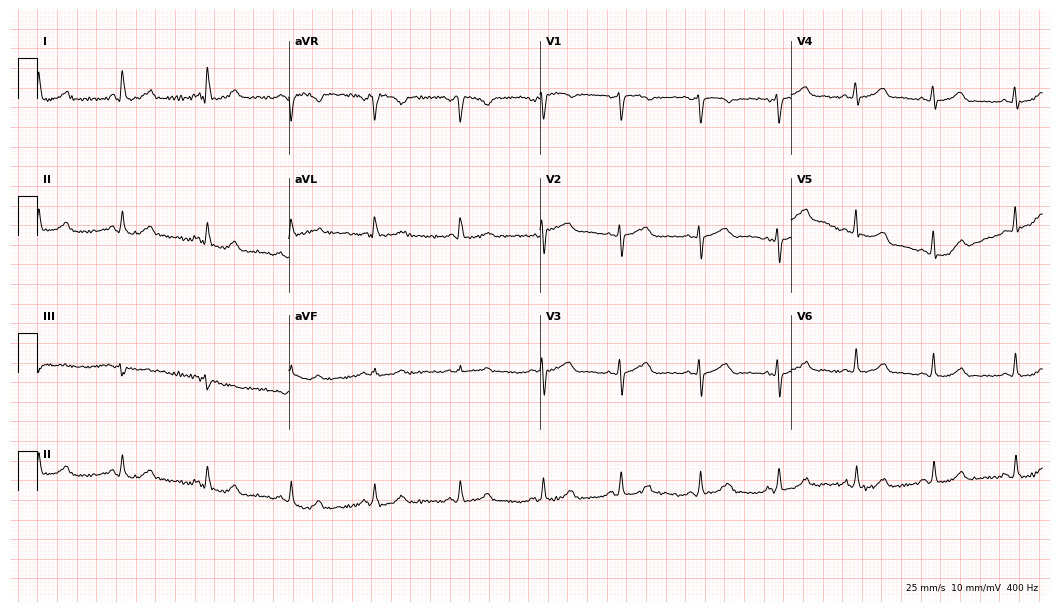
12-lead ECG from a female, 49 years old. Recorded interpretation: within normal limits.